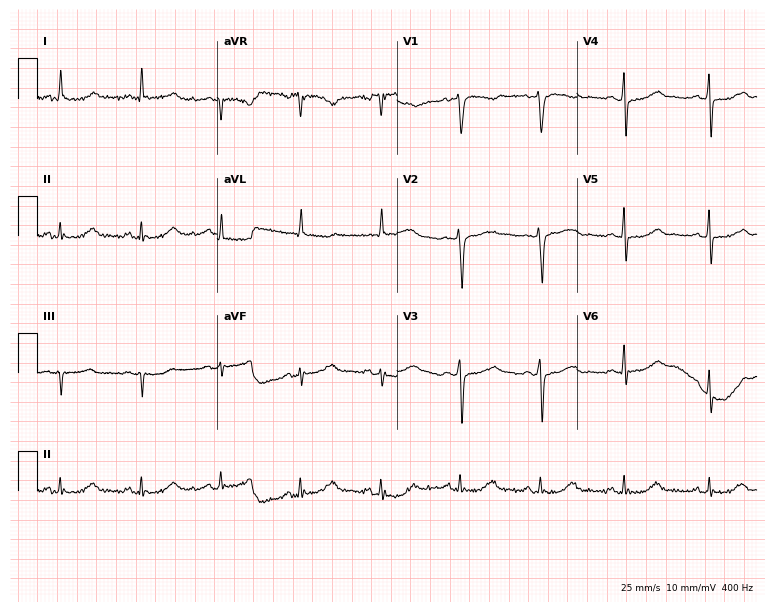
Resting 12-lead electrocardiogram. Patient: a 49-year-old female. None of these six findings is recorded: first-degree AV block, right bundle branch block, left bundle branch block, sinus bradycardia, atrial fibrillation, sinus tachycardia. Other findings, if any, are not listed.